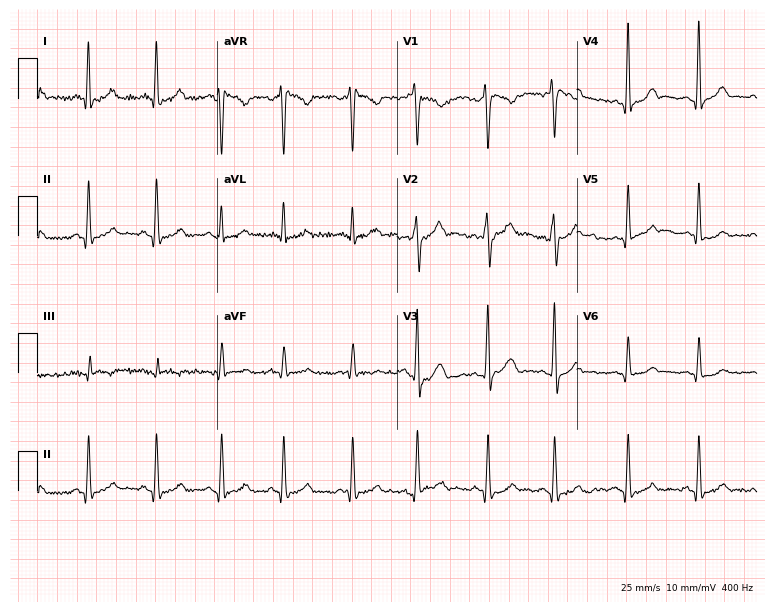
Standard 12-lead ECG recorded from a 24-year-old male (7.3-second recording at 400 Hz). Read as a normal ECG.